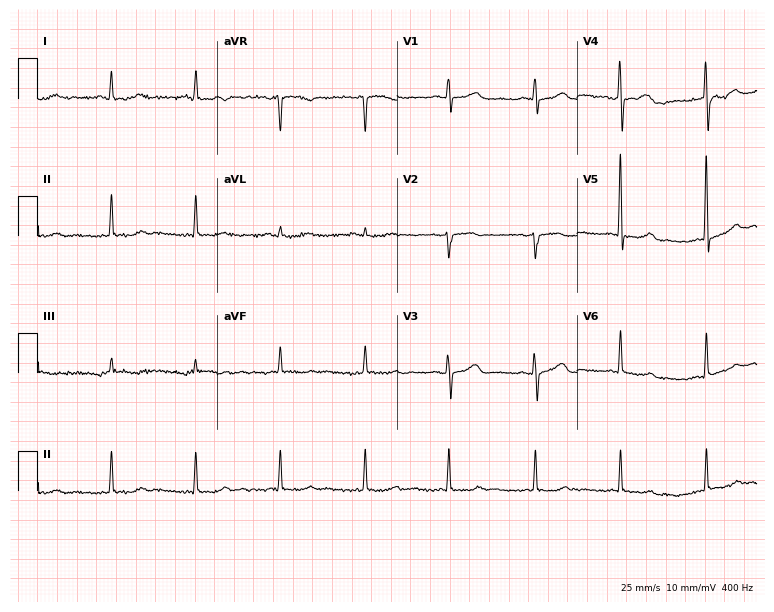
Resting 12-lead electrocardiogram. Patient: a female, 61 years old. Read as a normal ECG.